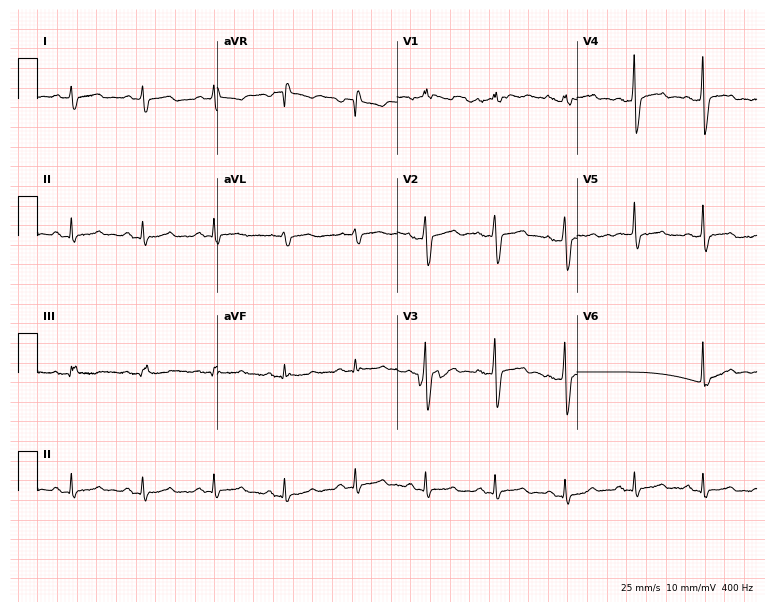
Resting 12-lead electrocardiogram. Patient: a male, 46 years old. Read as a normal ECG.